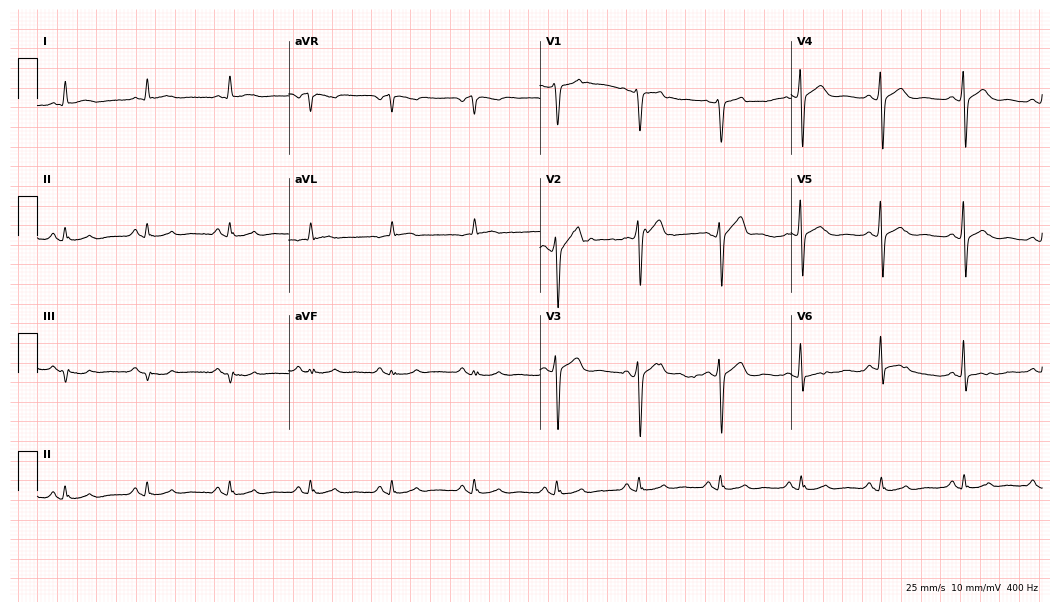
Electrocardiogram (10.2-second recording at 400 Hz), a 50-year-old man. Of the six screened findings (first-degree AV block, right bundle branch block, left bundle branch block, sinus bradycardia, atrial fibrillation, sinus tachycardia), none is recorded.